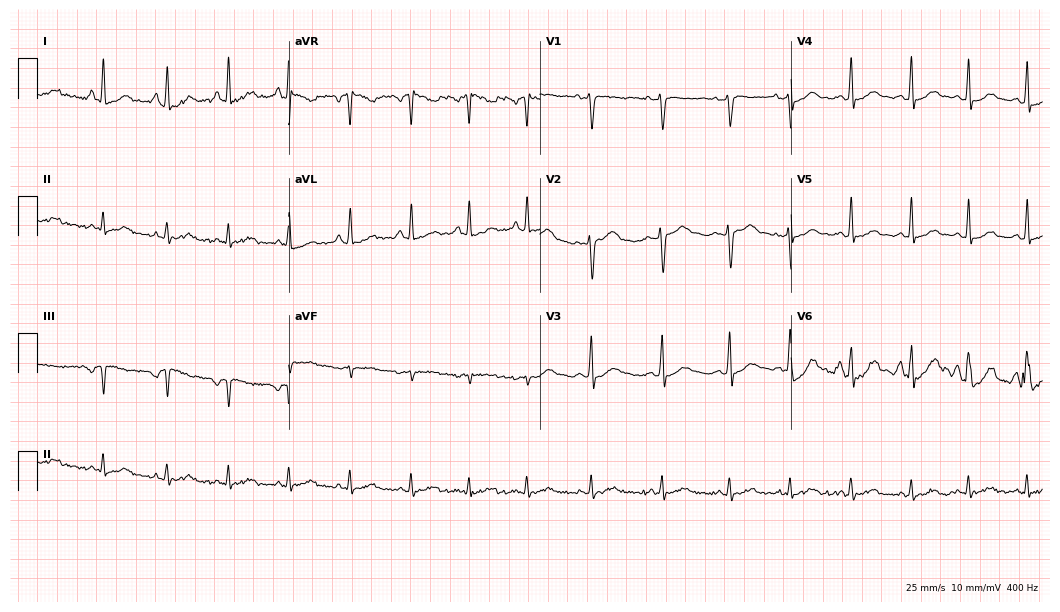
Standard 12-lead ECG recorded from a female patient, 20 years old. None of these six findings is recorded: first-degree AV block, right bundle branch block, left bundle branch block, sinus bradycardia, atrial fibrillation, sinus tachycardia. Other findings, if any, are not listed.